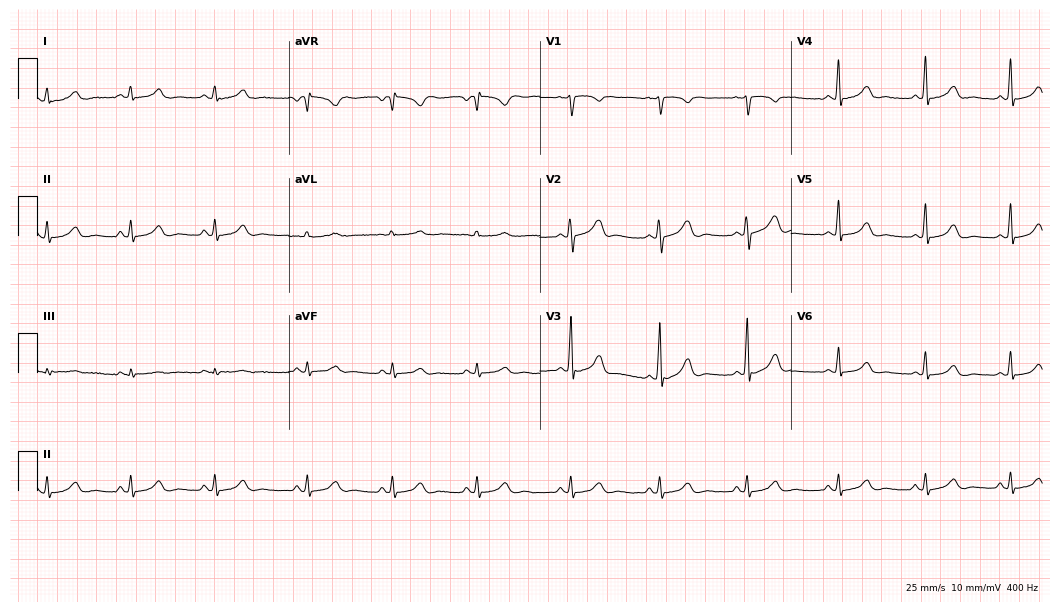
Standard 12-lead ECG recorded from a female patient, 27 years old (10.2-second recording at 400 Hz). Read as a normal ECG.